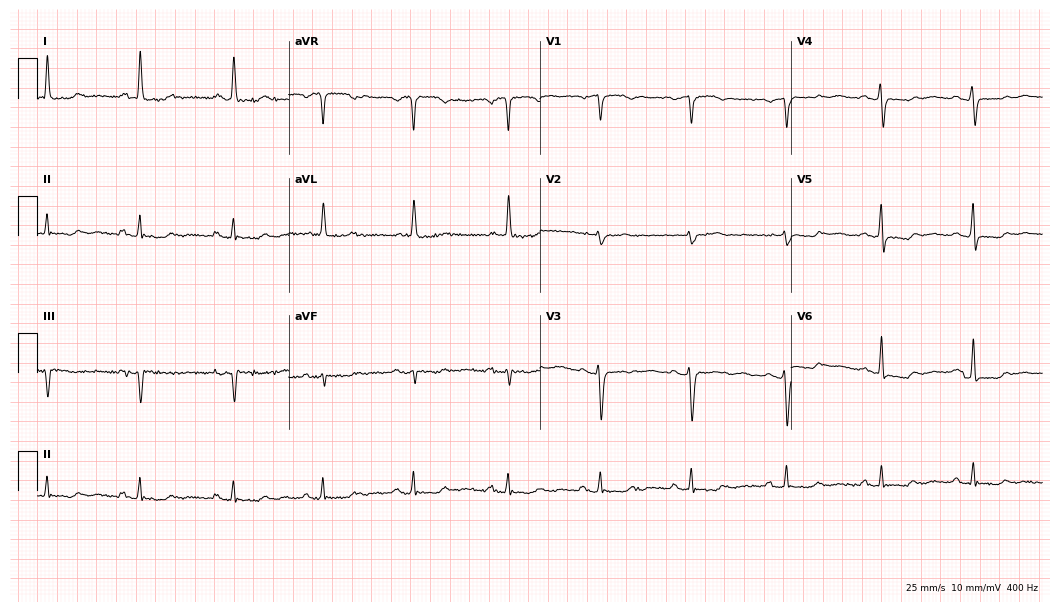
ECG (10.2-second recording at 400 Hz) — a 52-year-old woman. Screened for six findings — first-degree AV block, right bundle branch block, left bundle branch block, sinus bradycardia, atrial fibrillation, sinus tachycardia — none is recorded. Findings outside these six are not listed.